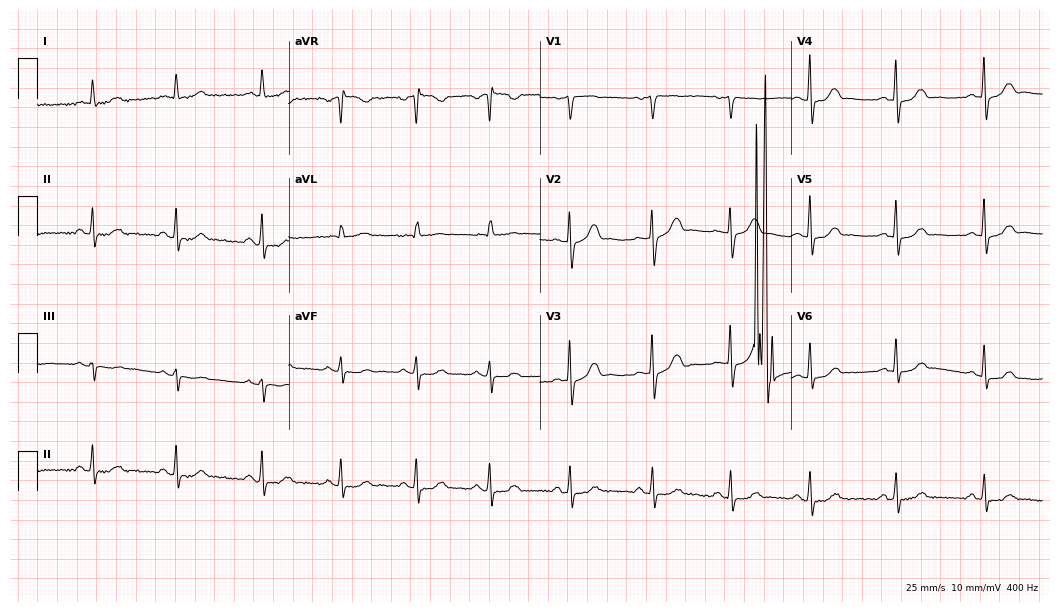
12-lead ECG from a 62-year-old male. Labelled as a normal ECG.